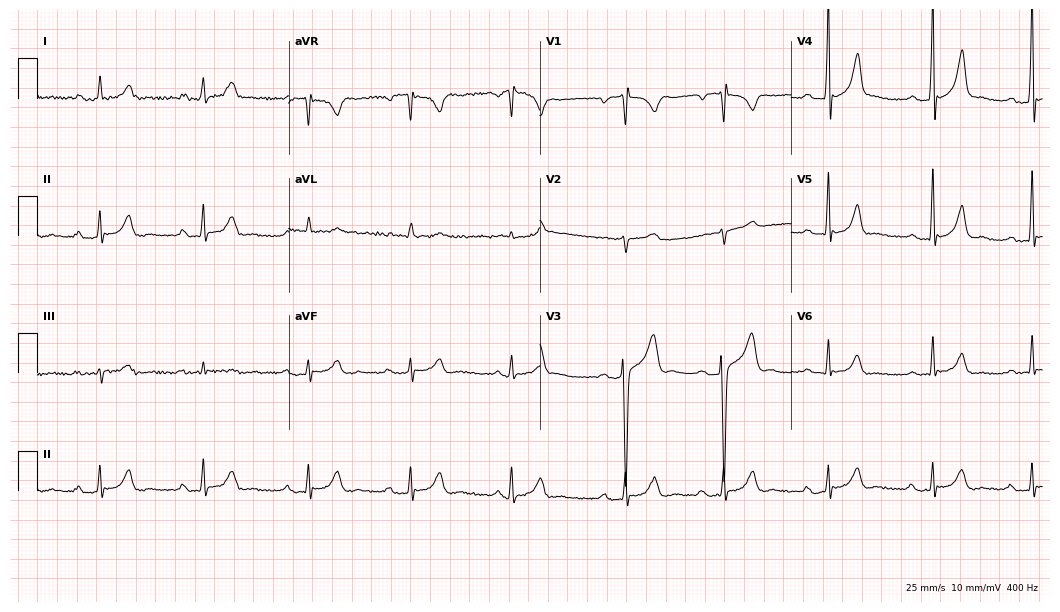
ECG (10.2-second recording at 400 Hz) — a 59-year-old male patient. Findings include first-degree AV block.